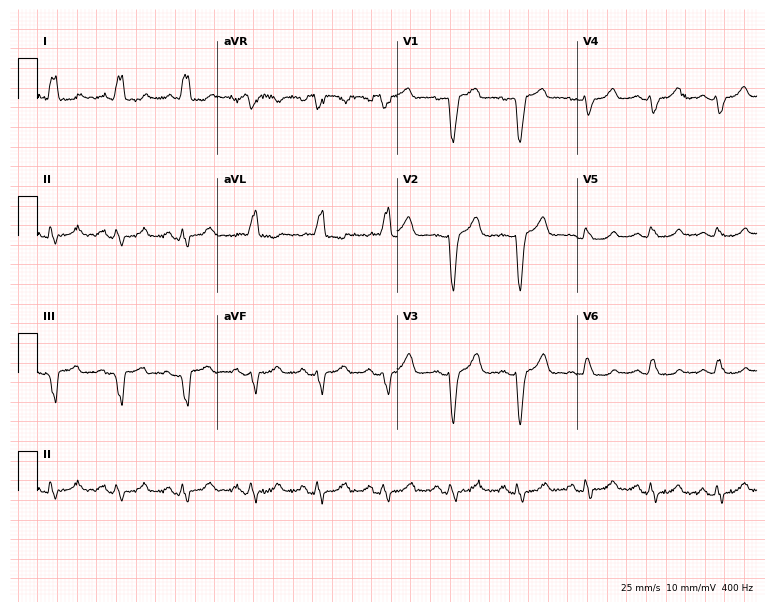
Resting 12-lead electrocardiogram. Patient: a 78-year-old female. The tracing shows left bundle branch block.